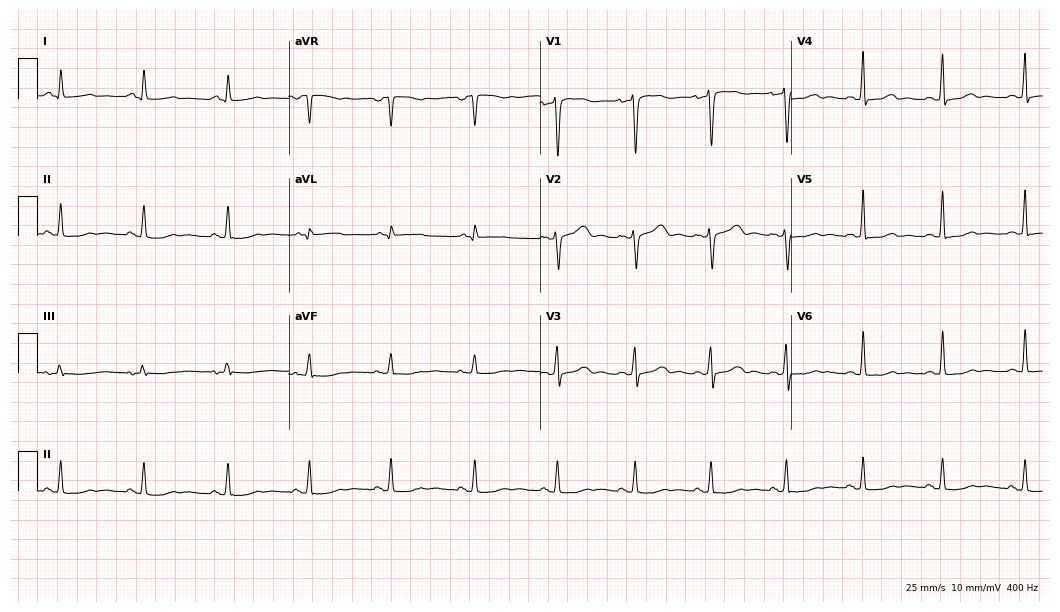
Standard 12-lead ECG recorded from a 46-year-old woman (10.2-second recording at 400 Hz). Read as a normal ECG.